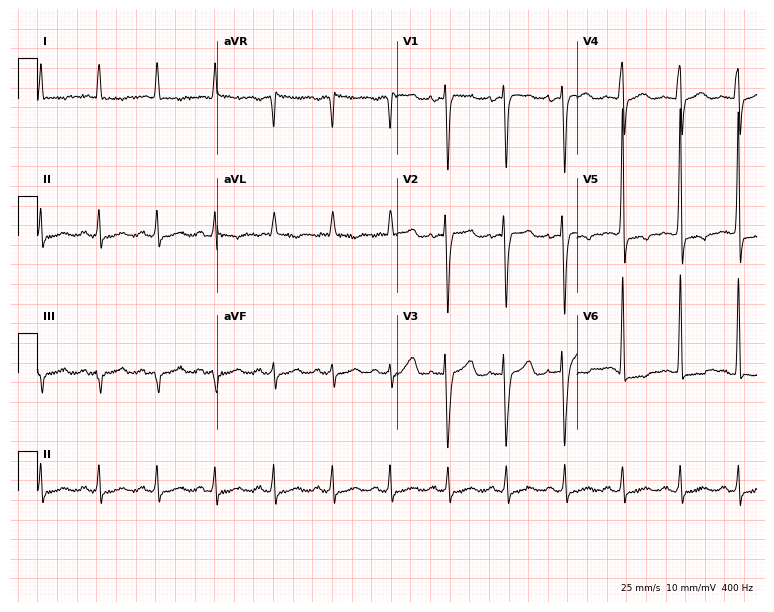
12-lead ECG (7.3-second recording at 400 Hz) from a female, 83 years old. Findings include sinus tachycardia (a sinus rate of 100 beats per minute or more).